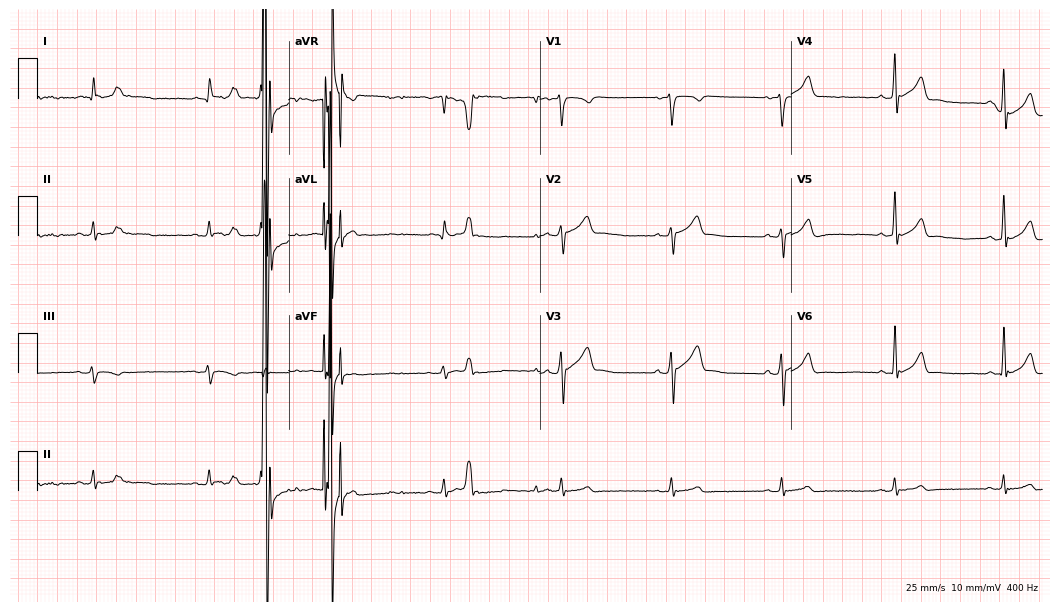
Standard 12-lead ECG recorded from a 36-year-old man. Read as a normal ECG.